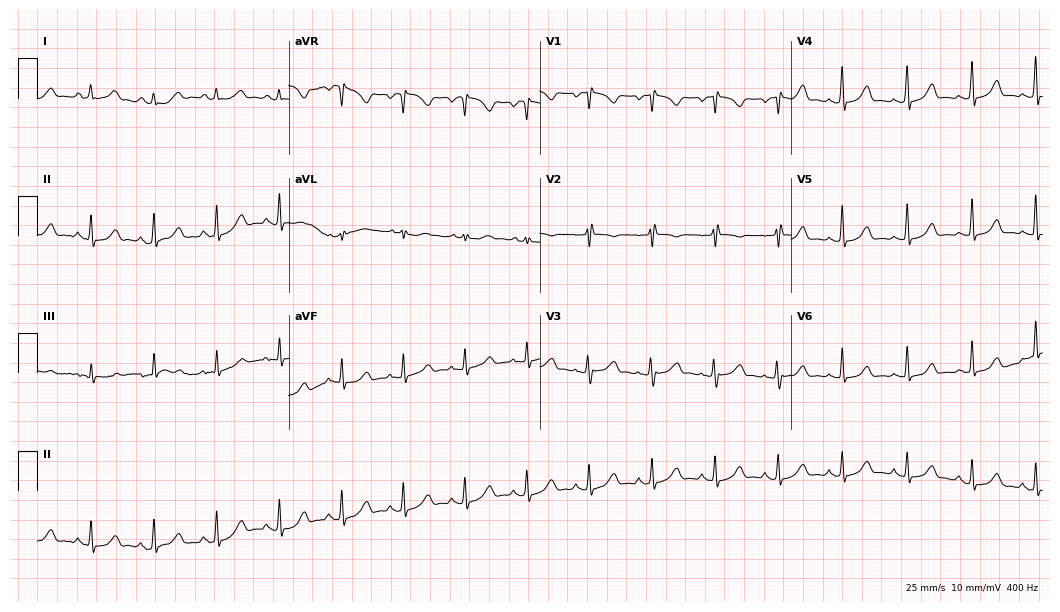
Resting 12-lead electrocardiogram. Patient: a 44-year-old female. None of these six findings is recorded: first-degree AV block, right bundle branch block, left bundle branch block, sinus bradycardia, atrial fibrillation, sinus tachycardia. Other findings, if any, are not listed.